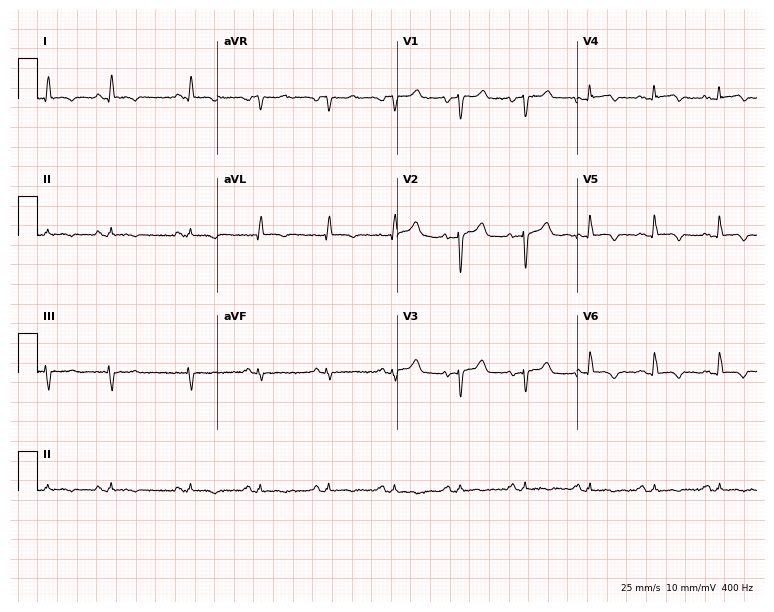
12-lead ECG from a female, 28 years old. Recorded interpretation: within normal limits.